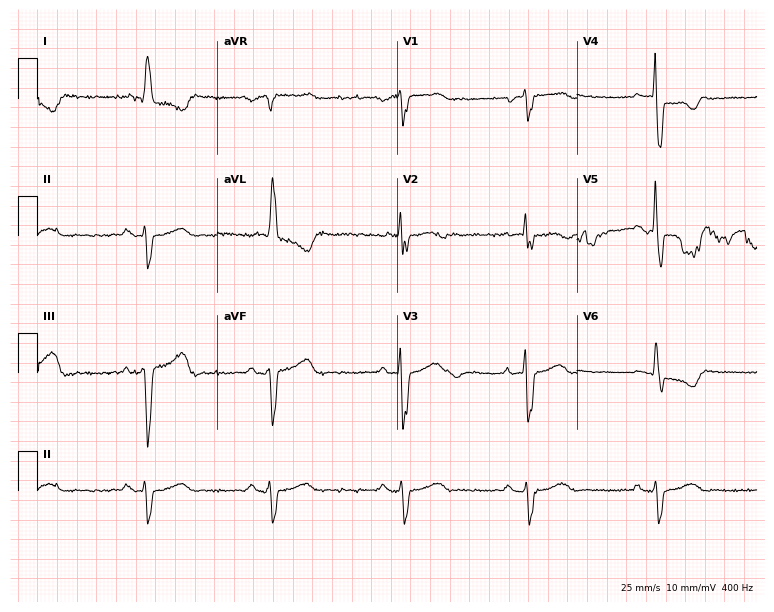
Standard 12-lead ECG recorded from a man, 73 years old. The tracing shows right bundle branch block (RBBB).